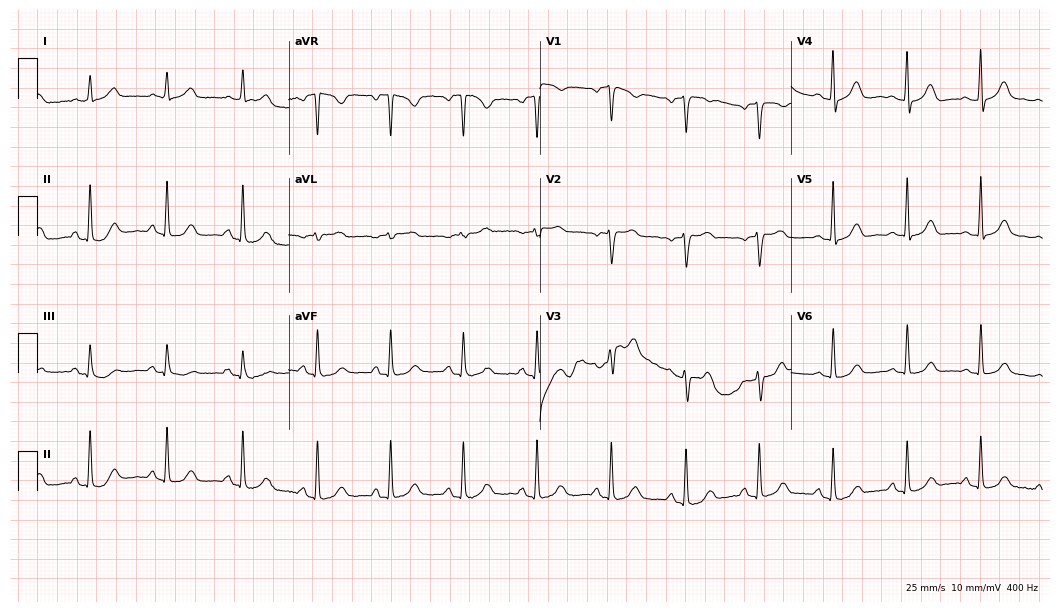
Standard 12-lead ECG recorded from a 72-year-old female patient (10.2-second recording at 400 Hz). Read as a normal ECG.